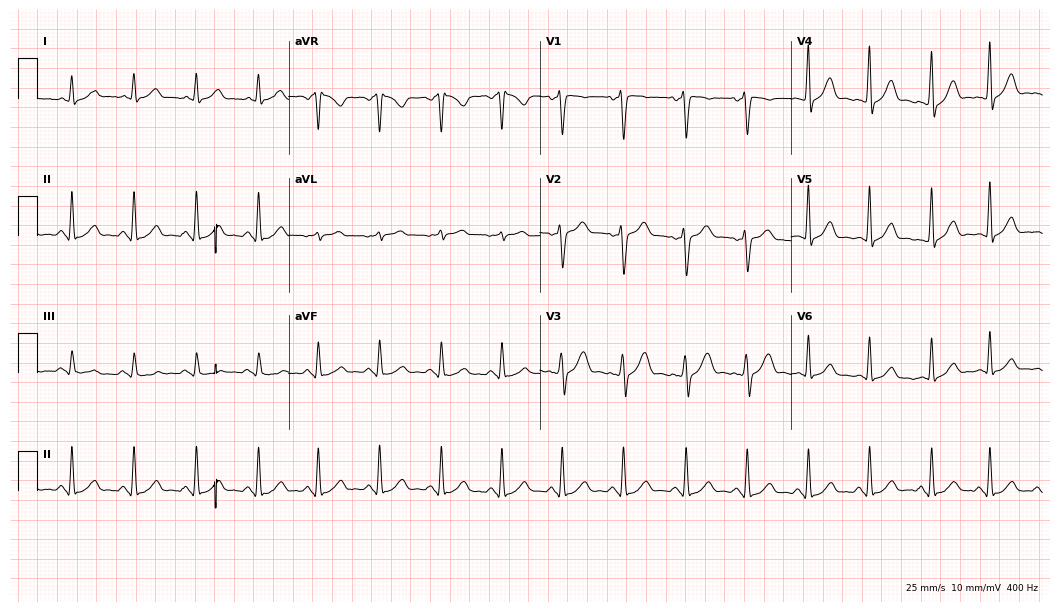
ECG (10.2-second recording at 400 Hz) — a 43-year-old male. Labelled as a normal ECG.